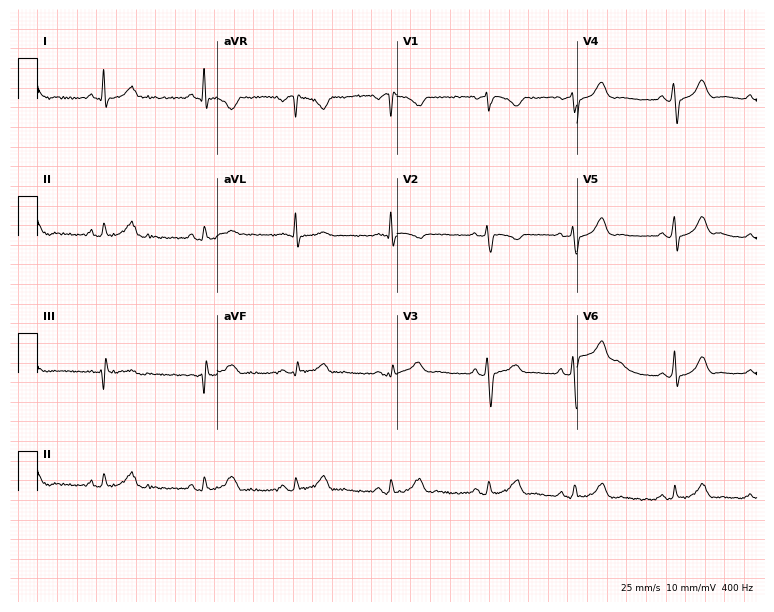
Electrocardiogram, an 18-year-old female. Of the six screened findings (first-degree AV block, right bundle branch block, left bundle branch block, sinus bradycardia, atrial fibrillation, sinus tachycardia), none is recorded.